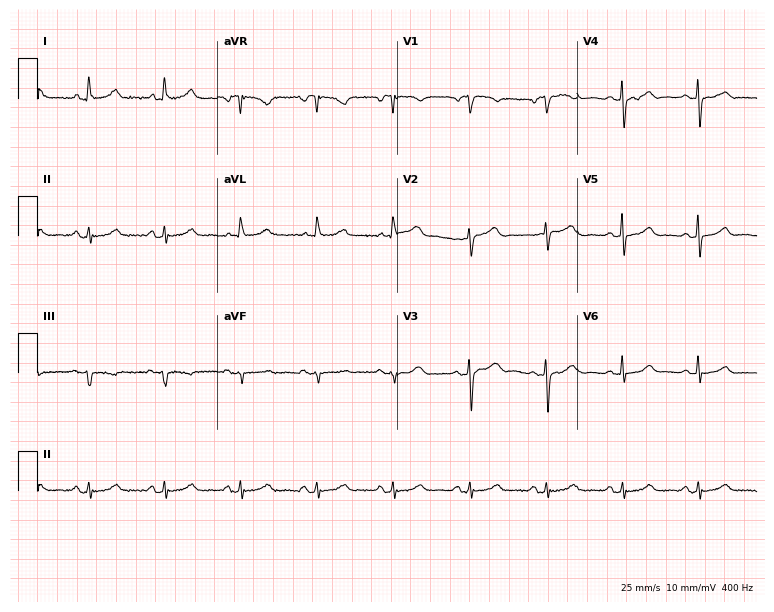
Standard 12-lead ECG recorded from a female, 83 years old. Read as a normal ECG.